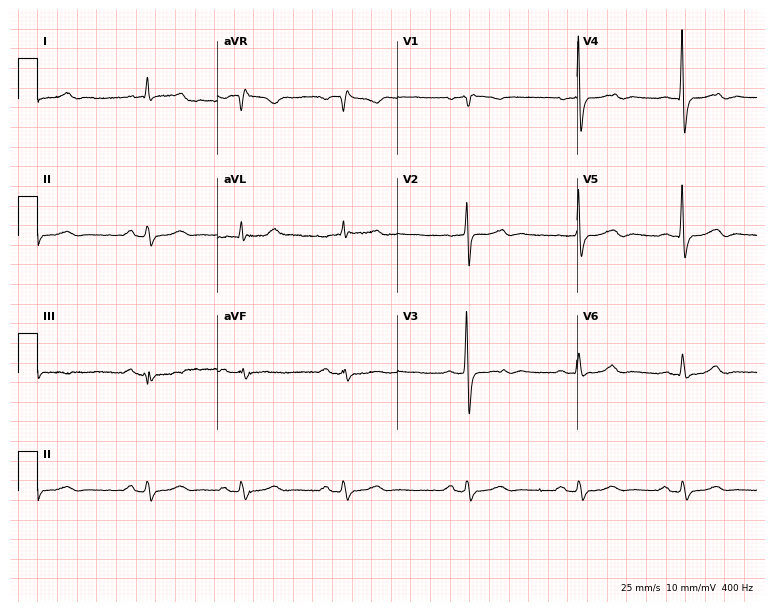
Resting 12-lead electrocardiogram. Patient: a 68-year-old female. None of these six findings is recorded: first-degree AV block, right bundle branch block, left bundle branch block, sinus bradycardia, atrial fibrillation, sinus tachycardia. Only these six findings were labelled.